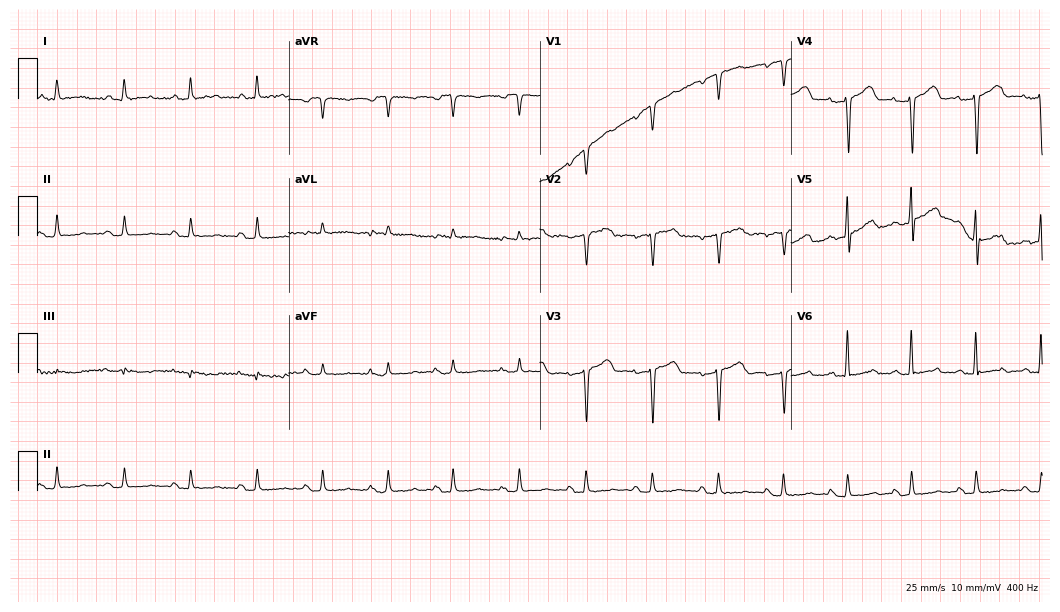
Electrocardiogram, a 70-year-old female patient. Of the six screened findings (first-degree AV block, right bundle branch block, left bundle branch block, sinus bradycardia, atrial fibrillation, sinus tachycardia), none is recorded. Only these six findings were labelled.